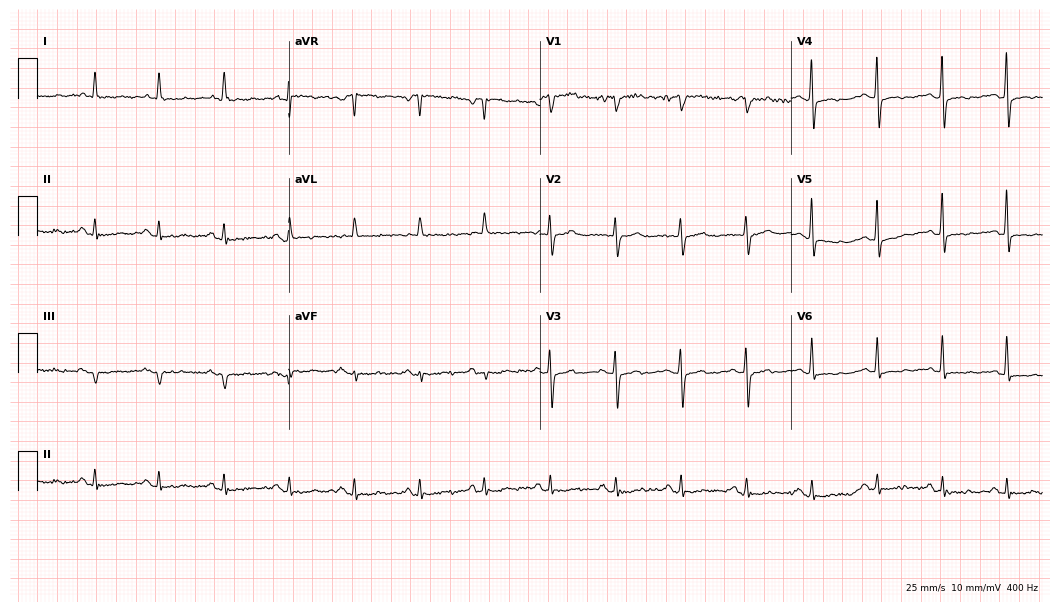
Standard 12-lead ECG recorded from an 85-year-old female patient (10.2-second recording at 400 Hz). None of these six findings is recorded: first-degree AV block, right bundle branch block, left bundle branch block, sinus bradycardia, atrial fibrillation, sinus tachycardia. Only these six findings were labelled.